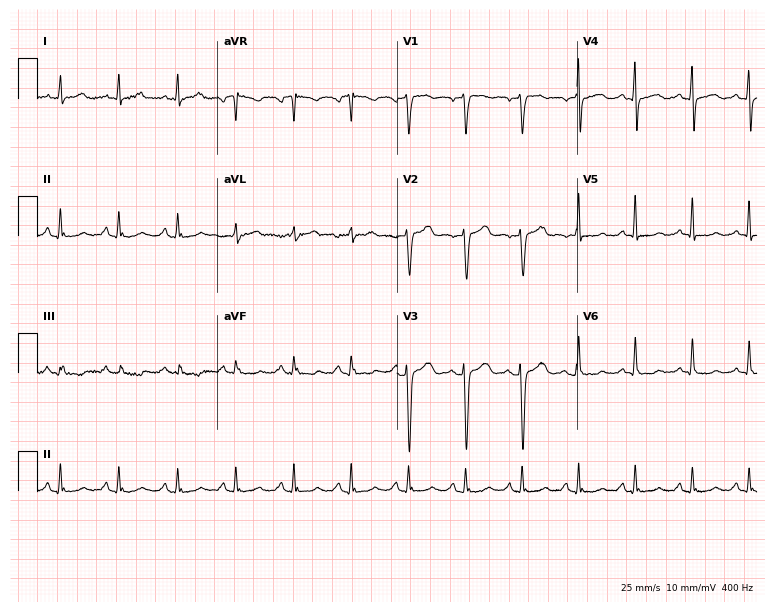
Resting 12-lead electrocardiogram (7.3-second recording at 400 Hz). Patient: a female, 50 years old. None of these six findings is recorded: first-degree AV block, right bundle branch block (RBBB), left bundle branch block (LBBB), sinus bradycardia, atrial fibrillation (AF), sinus tachycardia.